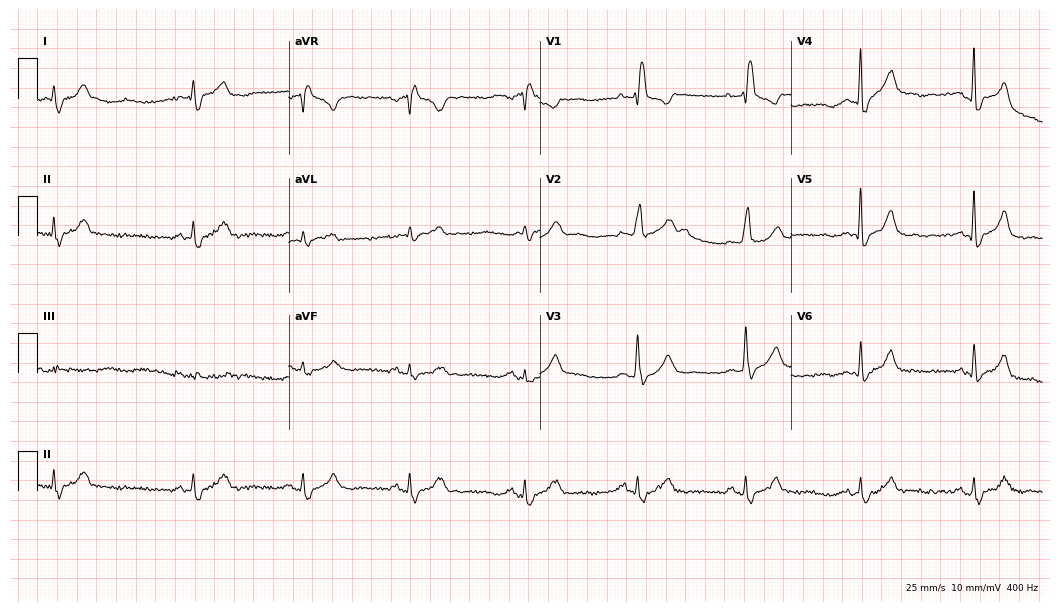
12-lead ECG (10.2-second recording at 400 Hz) from a 77-year-old man. Findings include right bundle branch block.